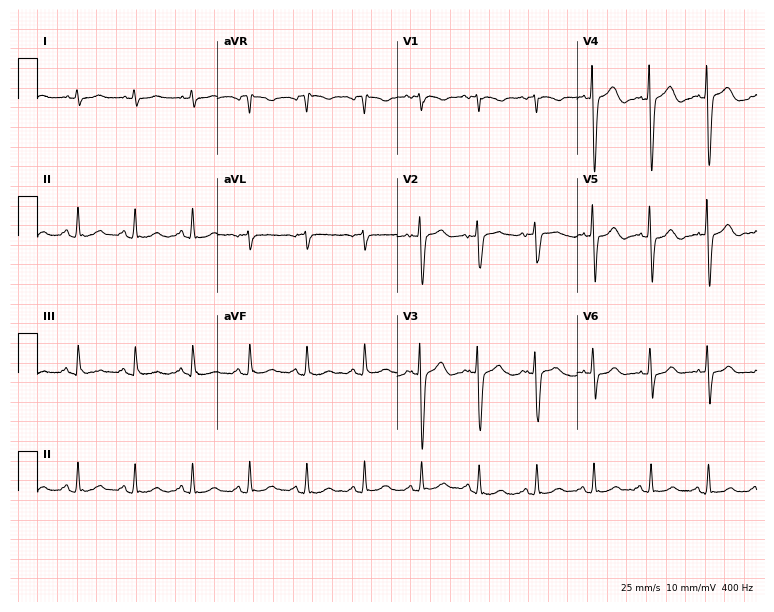
Electrocardiogram (7.3-second recording at 400 Hz), a 74-year-old man. Interpretation includes sinus tachycardia (a sinus rate of 100 beats per minute or more).